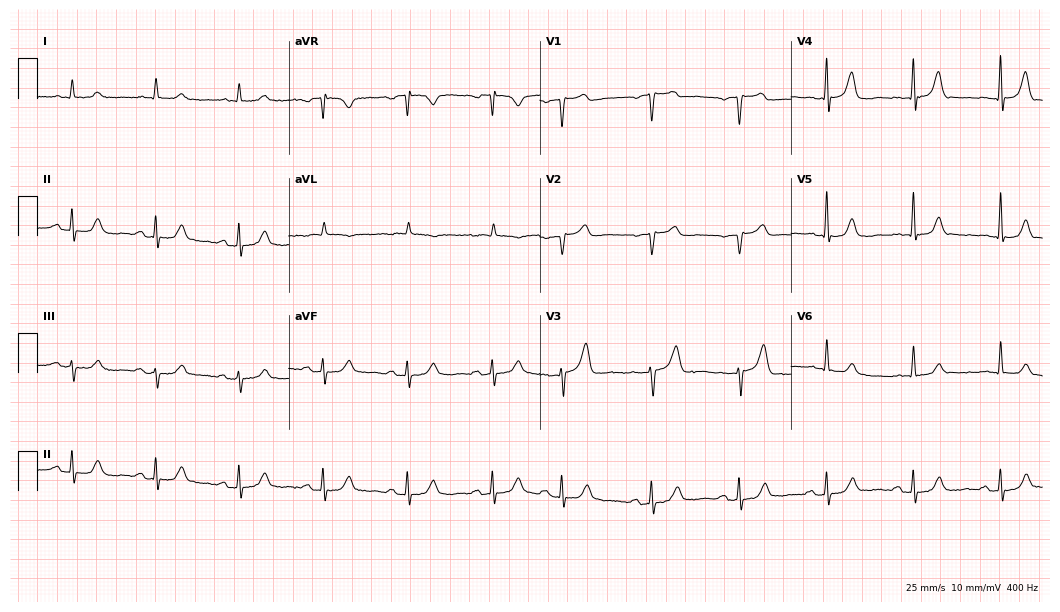
ECG — a 71-year-old male. Labelled as a normal ECG.